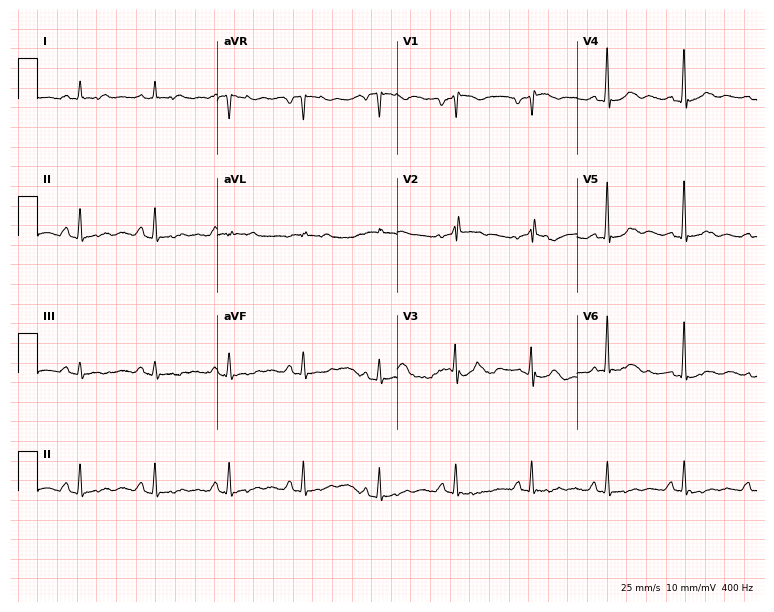
12-lead ECG (7.3-second recording at 400 Hz) from a 53-year-old woman. Screened for six findings — first-degree AV block, right bundle branch block, left bundle branch block, sinus bradycardia, atrial fibrillation, sinus tachycardia — none is recorded. Other findings, if any, are not listed.